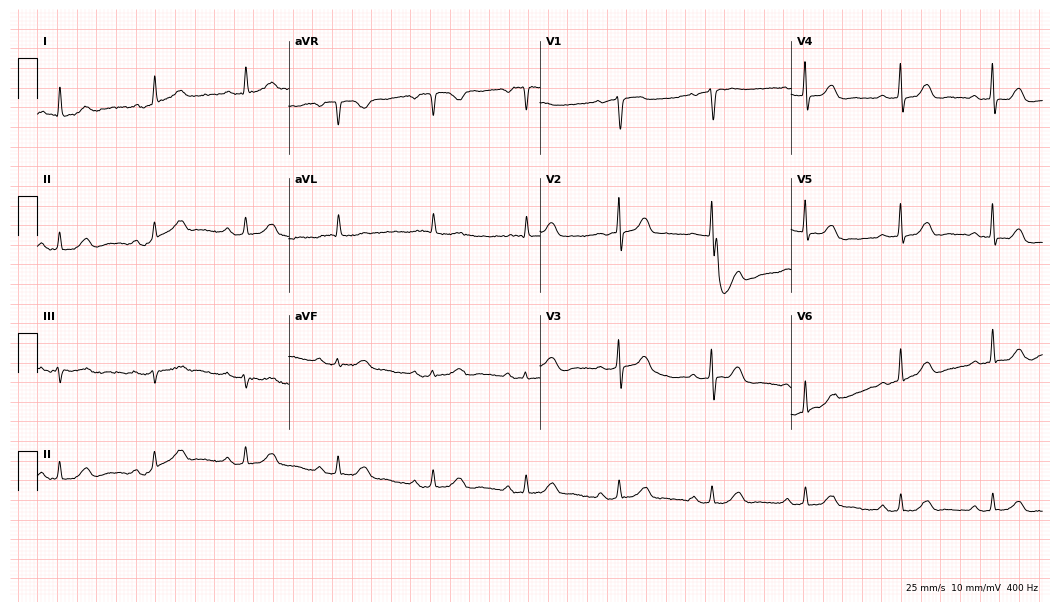
Resting 12-lead electrocardiogram. Patient: a female, 76 years old. Read as a normal ECG.